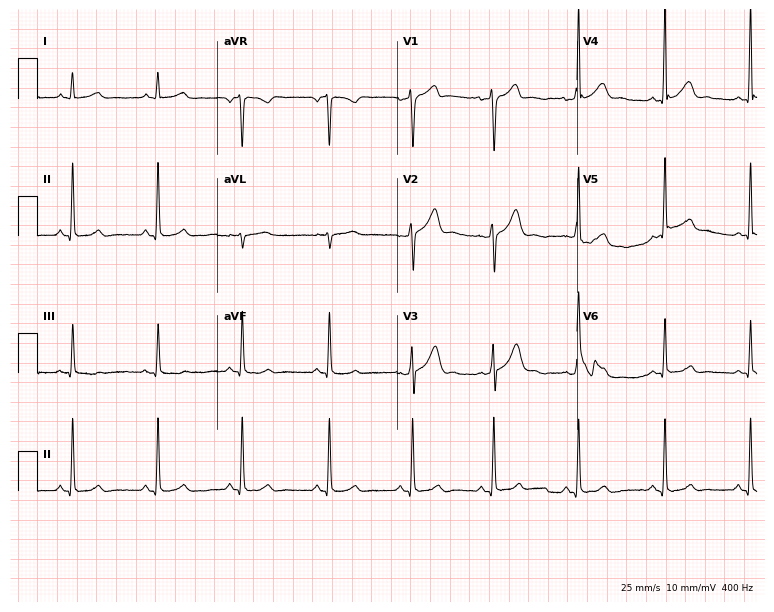
Resting 12-lead electrocardiogram. Patient: a 35-year-old man. None of these six findings is recorded: first-degree AV block, right bundle branch block, left bundle branch block, sinus bradycardia, atrial fibrillation, sinus tachycardia. Findings outside these six are not listed.